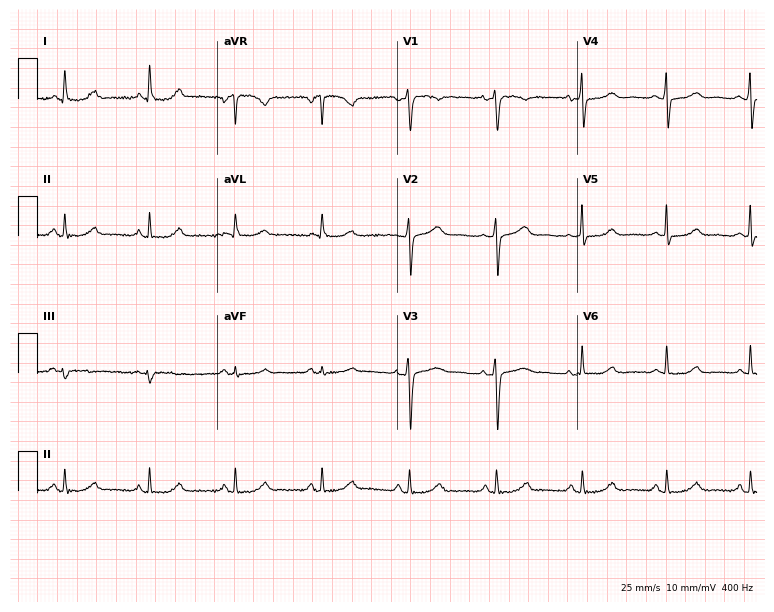
Standard 12-lead ECG recorded from a male, 57 years old (7.3-second recording at 400 Hz). None of these six findings is recorded: first-degree AV block, right bundle branch block, left bundle branch block, sinus bradycardia, atrial fibrillation, sinus tachycardia. Only these six findings were labelled.